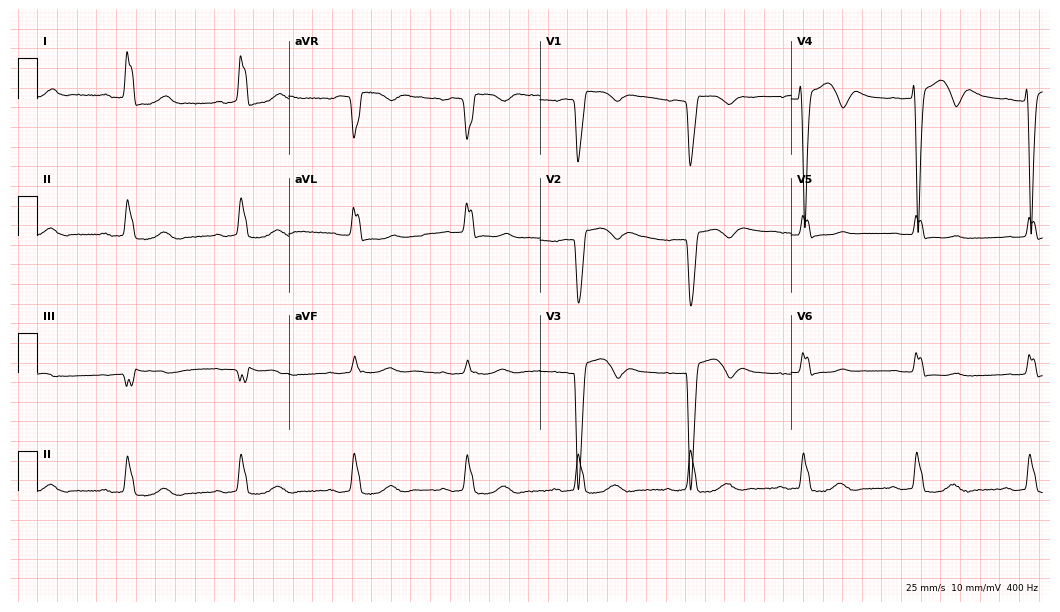
Standard 12-lead ECG recorded from a woman, 78 years old (10.2-second recording at 400 Hz). The tracing shows first-degree AV block, left bundle branch block (LBBB).